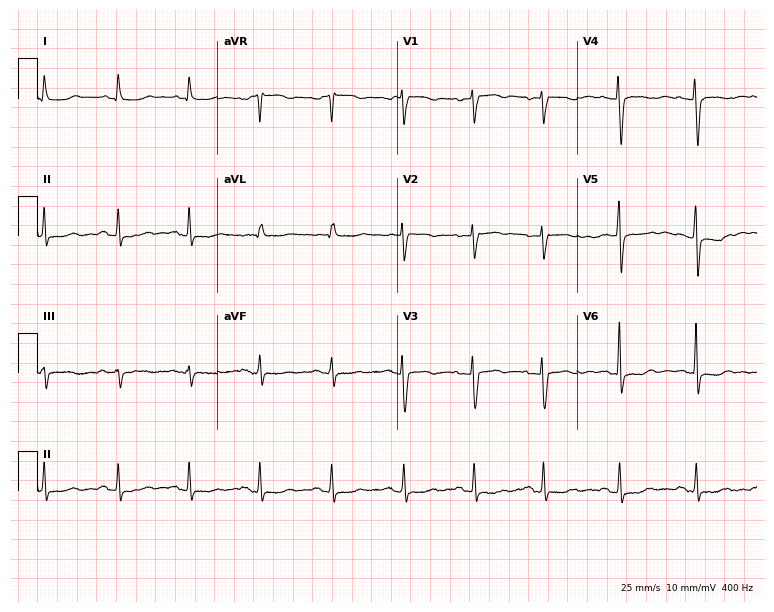
12-lead ECG from a 47-year-old woman. Screened for six findings — first-degree AV block, right bundle branch block, left bundle branch block, sinus bradycardia, atrial fibrillation, sinus tachycardia — none is recorded.